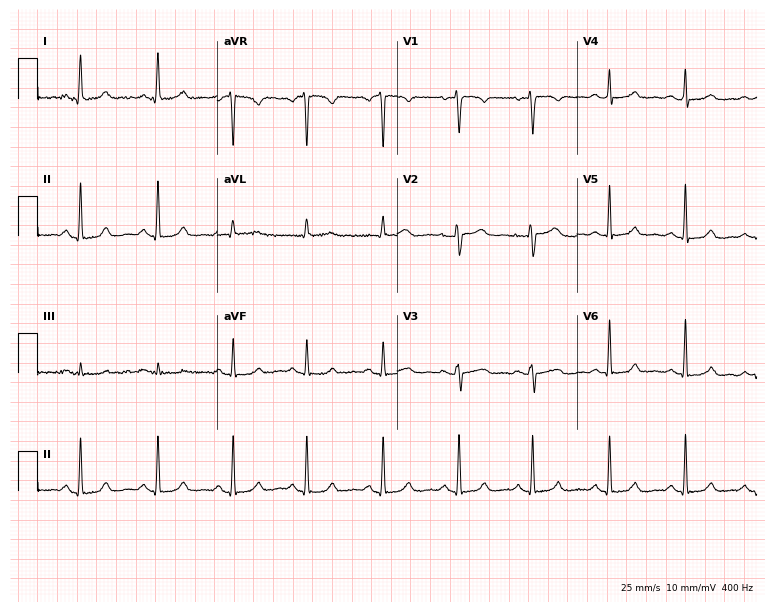
12-lead ECG from a female patient, 45 years old. No first-degree AV block, right bundle branch block, left bundle branch block, sinus bradycardia, atrial fibrillation or sinus tachycardia recorded for this tracing.